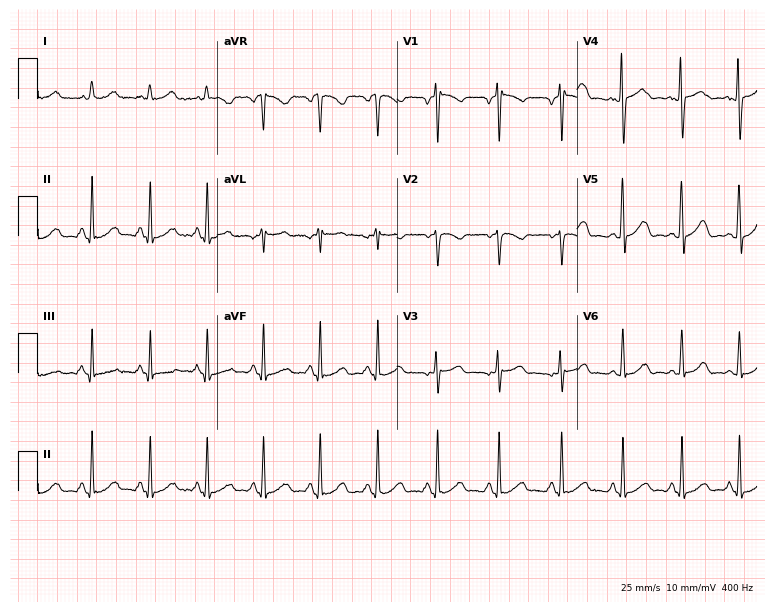
12-lead ECG from a female, 34 years old. Shows sinus tachycardia (a sinus rate of 100 beats per minute or more).